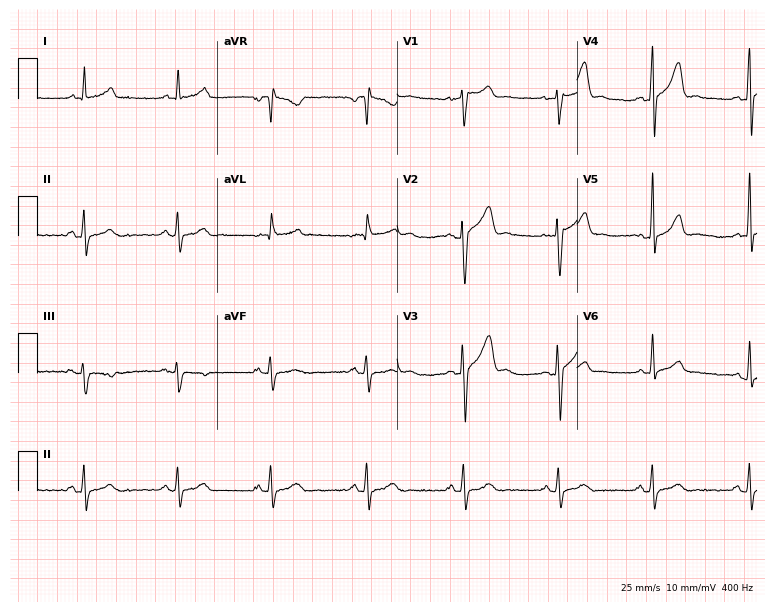
ECG — a 52-year-old man. Labelled as a normal ECG.